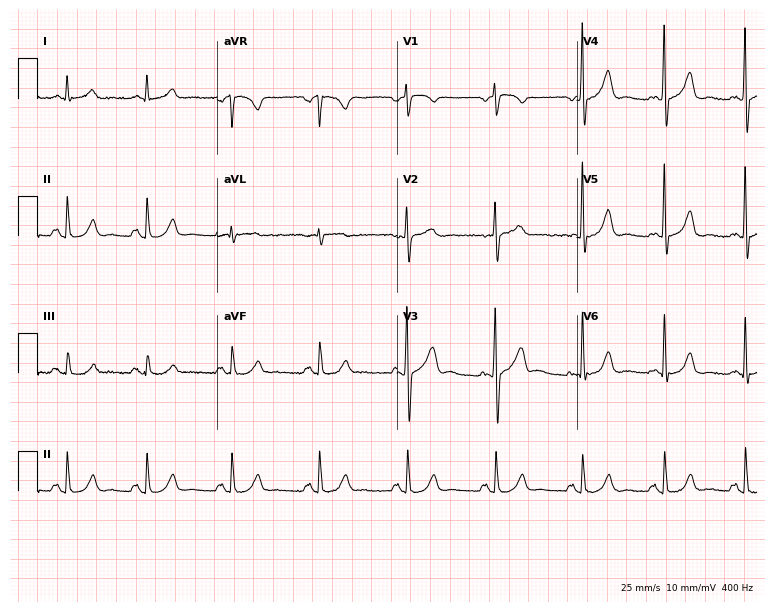
12-lead ECG (7.3-second recording at 400 Hz) from a 44-year-old male patient. Screened for six findings — first-degree AV block, right bundle branch block, left bundle branch block, sinus bradycardia, atrial fibrillation, sinus tachycardia — none is recorded. Only these six findings were labelled.